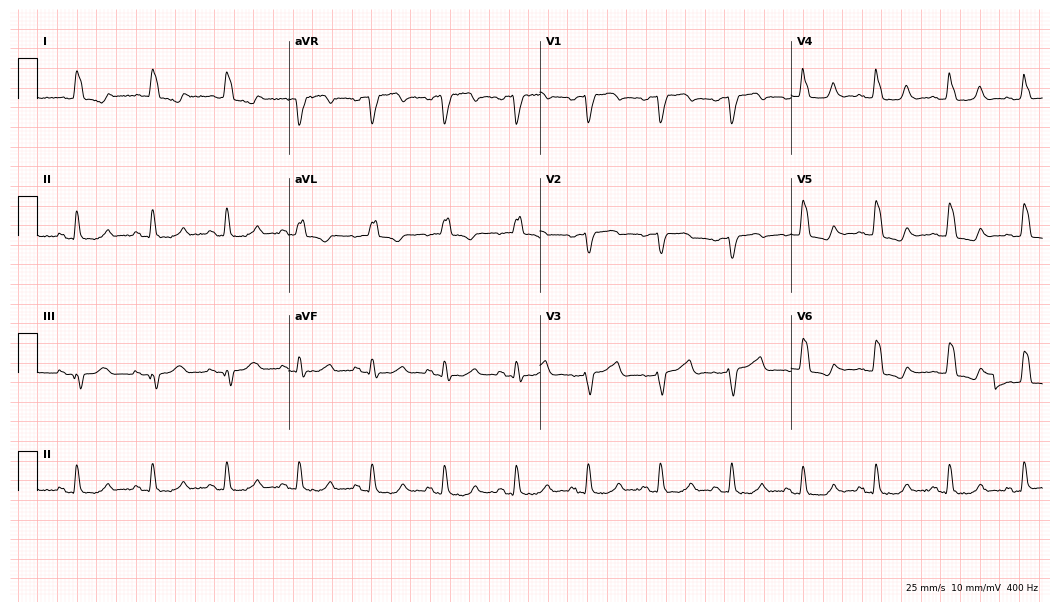
Electrocardiogram (10.2-second recording at 400 Hz), an 82-year-old woman. Of the six screened findings (first-degree AV block, right bundle branch block (RBBB), left bundle branch block (LBBB), sinus bradycardia, atrial fibrillation (AF), sinus tachycardia), none is recorded. Only these six findings were labelled.